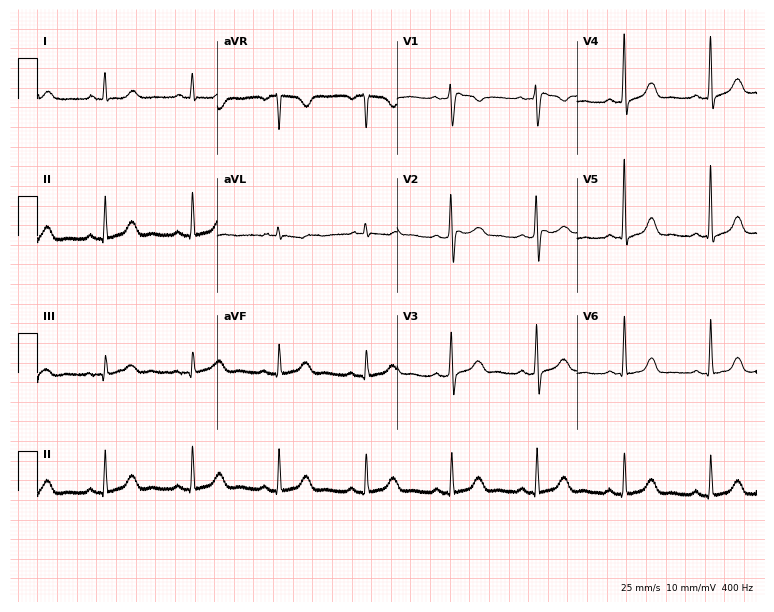
Electrocardiogram (7.3-second recording at 400 Hz), a 61-year-old female patient. Overall reading on record: normal ECG.